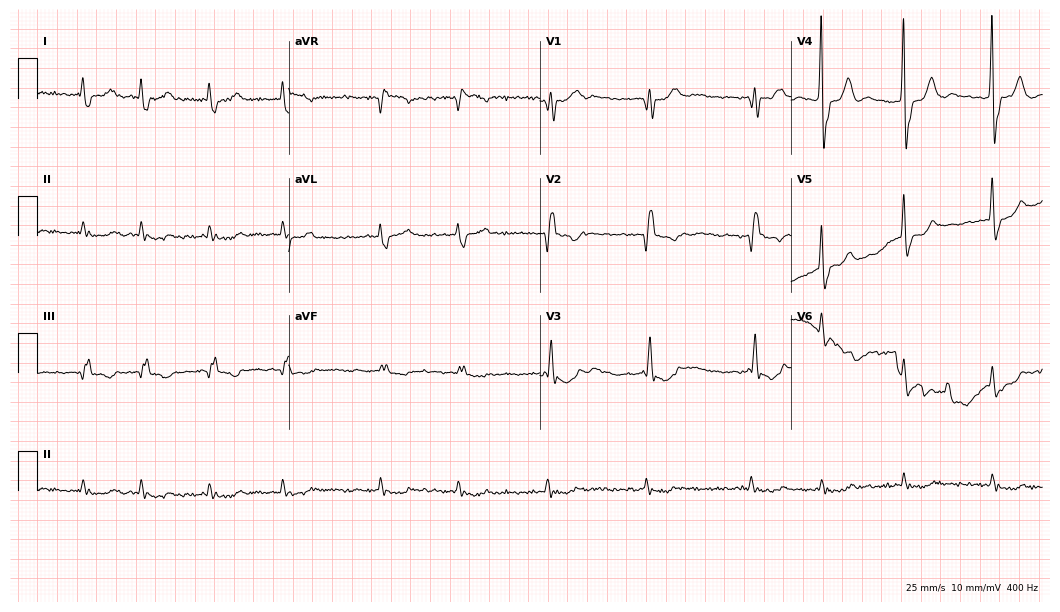
Standard 12-lead ECG recorded from an 81-year-old man (10.2-second recording at 400 Hz). None of these six findings is recorded: first-degree AV block, right bundle branch block, left bundle branch block, sinus bradycardia, atrial fibrillation, sinus tachycardia. Other findings, if any, are not listed.